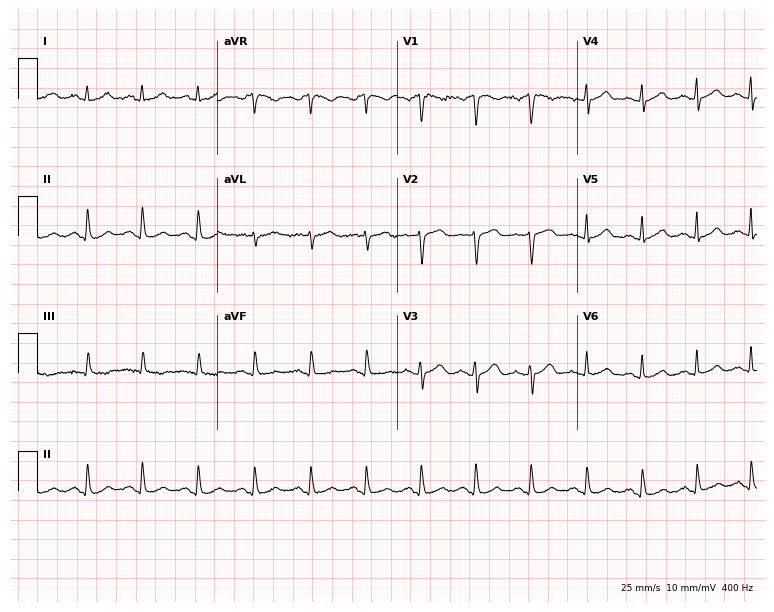
ECG — a male patient, 42 years old. Findings include sinus tachycardia (a sinus rate of 100 beats per minute or more).